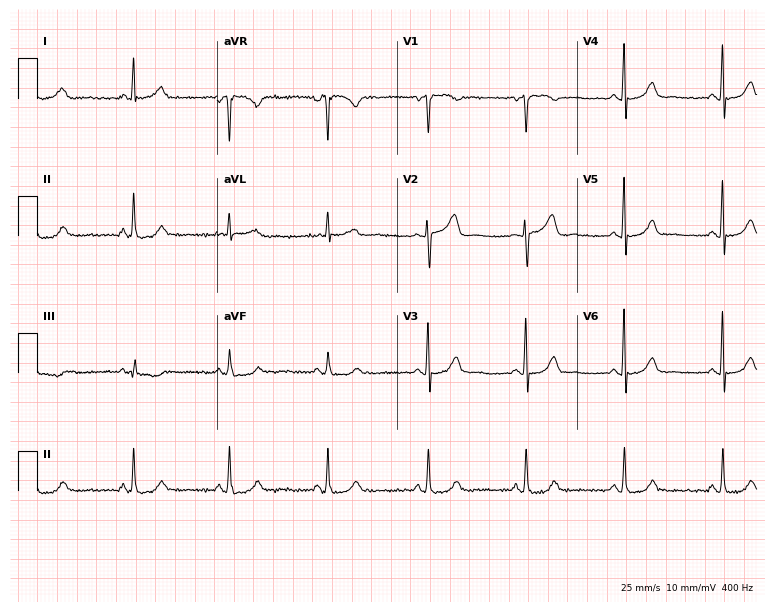
12-lead ECG from a female patient, 63 years old. Screened for six findings — first-degree AV block, right bundle branch block (RBBB), left bundle branch block (LBBB), sinus bradycardia, atrial fibrillation (AF), sinus tachycardia — none is recorded. Findings outside these six are not listed.